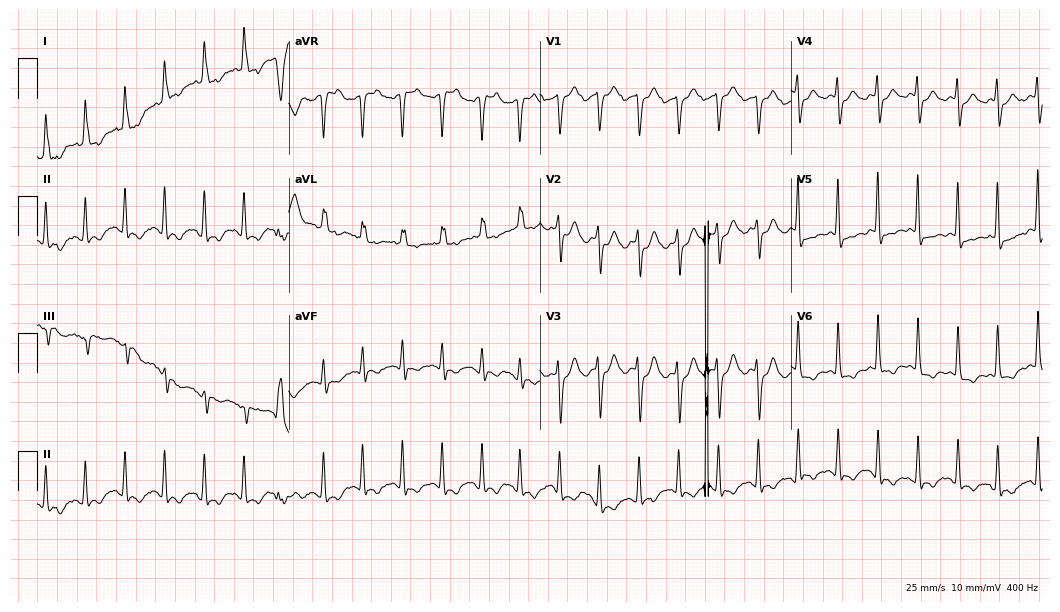
Electrocardiogram (10.2-second recording at 400 Hz), a 75-year-old female. Of the six screened findings (first-degree AV block, right bundle branch block (RBBB), left bundle branch block (LBBB), sinus bradycardia, atrial fibrillation (AF), sinus tachycardia), none is recorded. Findings outside these six are not listed.